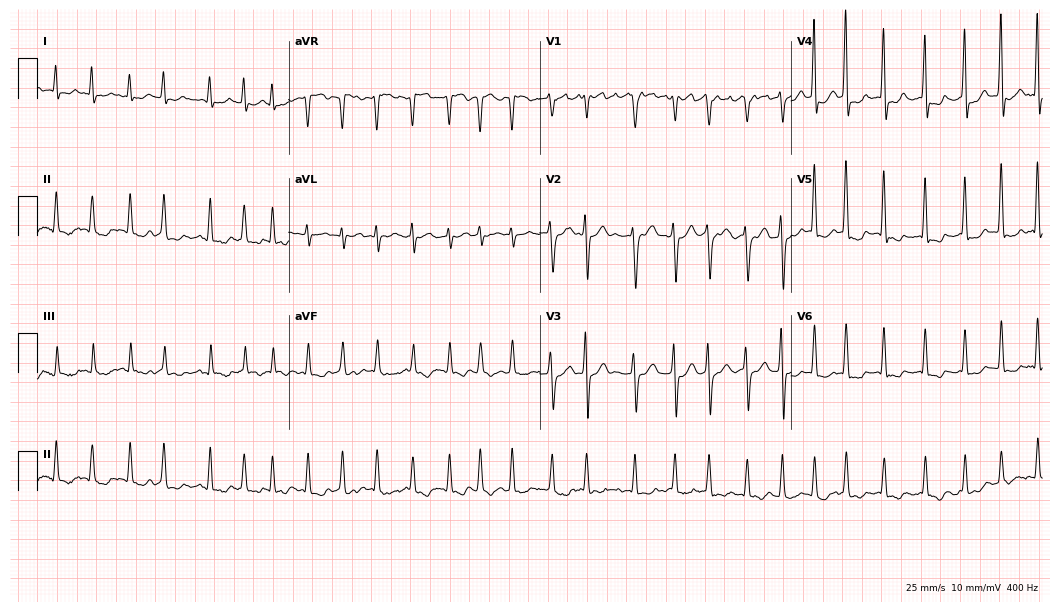
12-lead ECG from a female patient, 63 years old (10.2-second recording at 400 Hz). Shows atrial fibrillation (AF).